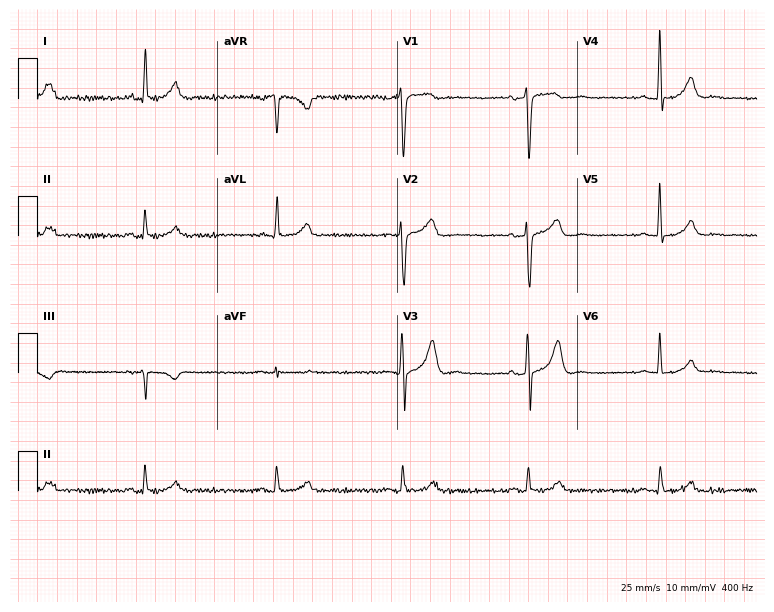
ECG (7.3-second recording at 400 Hz) — a male, 49 years old. Findings include sinus bradycardia (a sinus rate of 50 beats per minute or less).